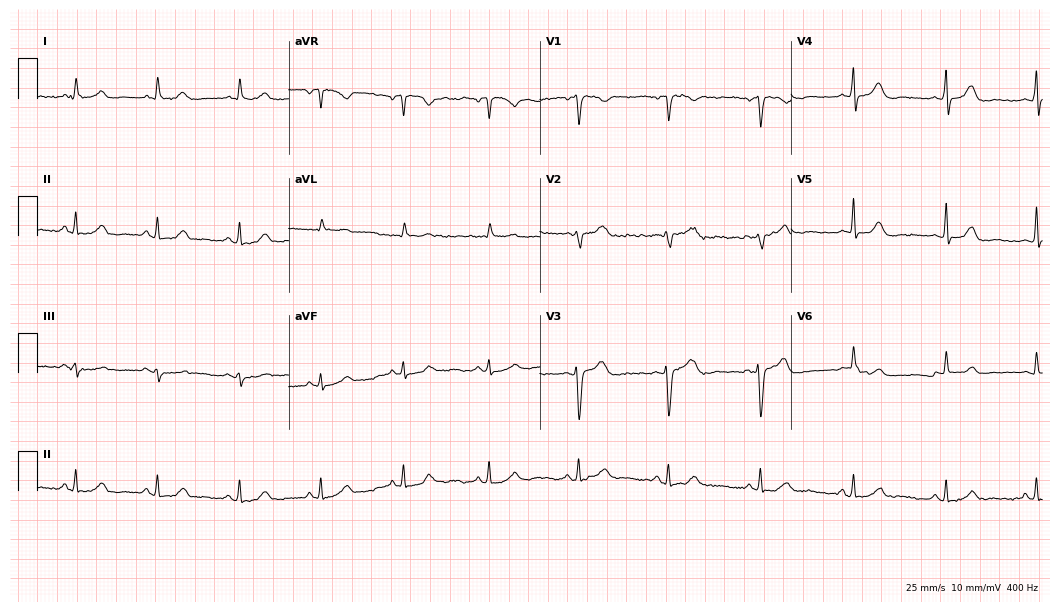
Electrocardiogram (10.2-second recording at 400 Hz), a 44-year-old female patient. Overall reading on record: normal ECG.